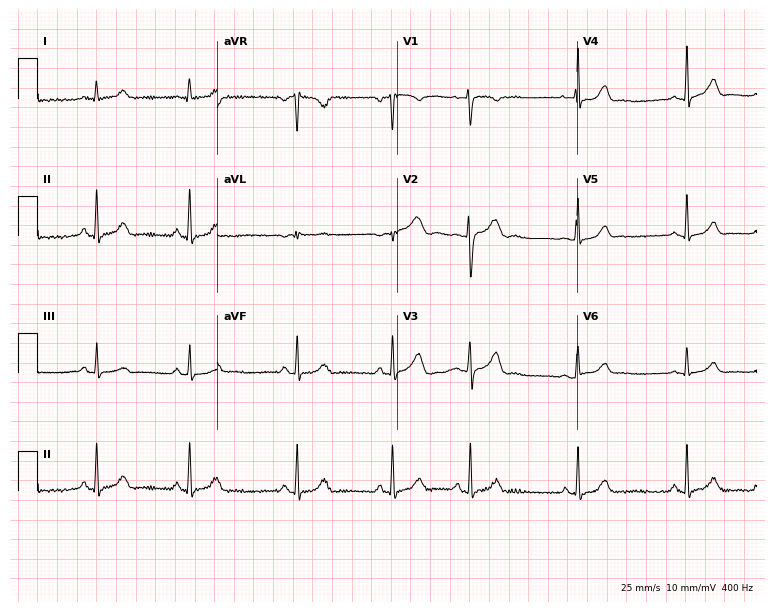
Standard 12-lead ECG recorded from a female patient, 22 years old (7.3-second recording at 400 Hz). None of these six findings is recorded: first-degree AV block, right bundle branch block (RBBB), left bundle branch block (LBBB), sinus bradycardia, atrial fibrillation (AF), sinus tachycardia. Findings outside these six are not listed.